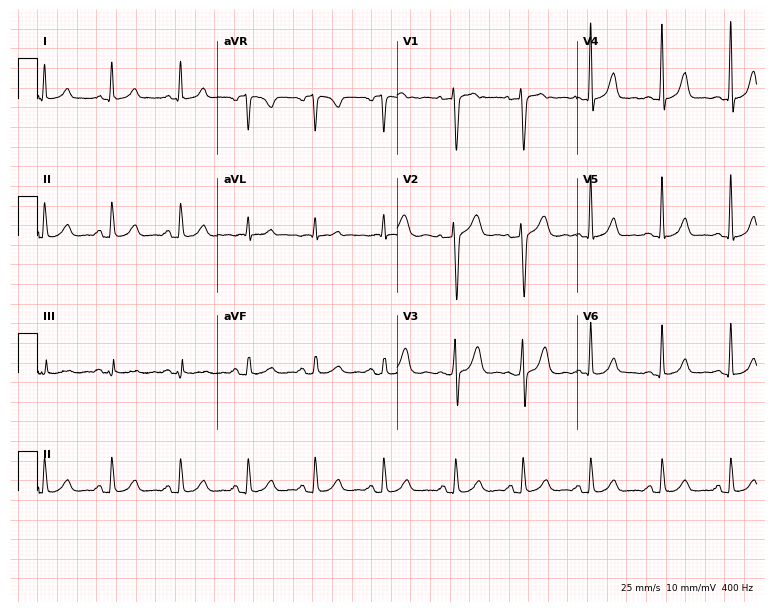
12-lead ECG from a female patient, 32 years old (7.3-second recording at 400 Hz). No first-degree AV block, right bundle branch block, left bundle branch block, sinus bradycardia, atrial fibrillation or sinus tachycardia recorded for this tracing. Only these six findings were labelled.